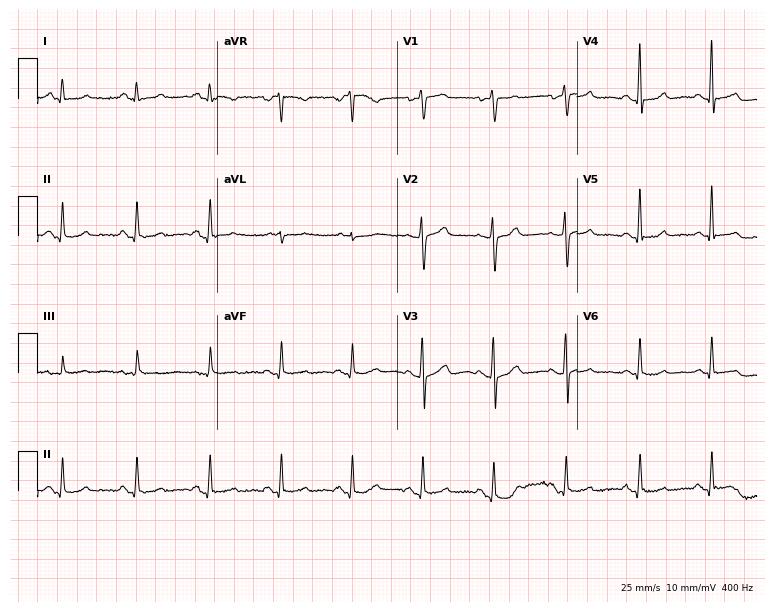
12-lead ECG from a man, 56 years old. Labelled as a normal ECG.